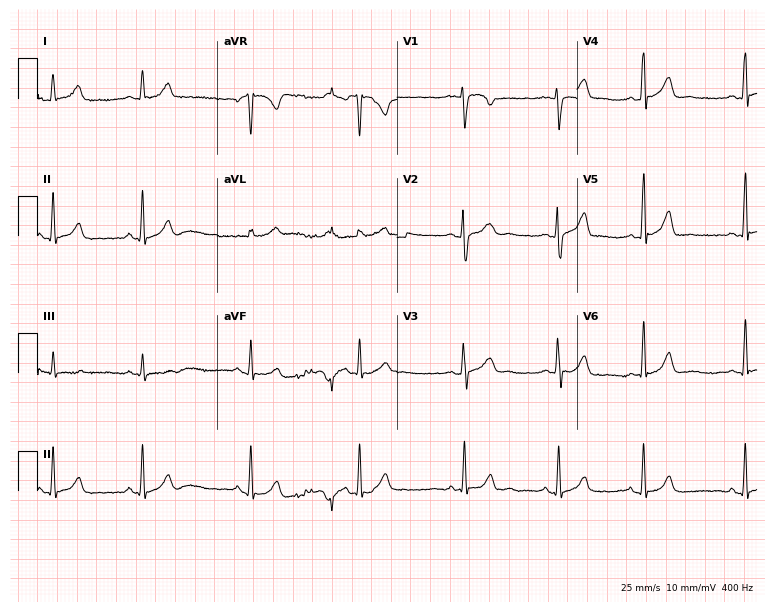
12-lead ECG from a 28-year-old woman (7.3-second recording at 400 Hz). No first-degree AV block, right bundle branch block, left bundle branch block, sinus bradycardia, atrial fibrillation or sinus tachycardia recorded for this tracing.